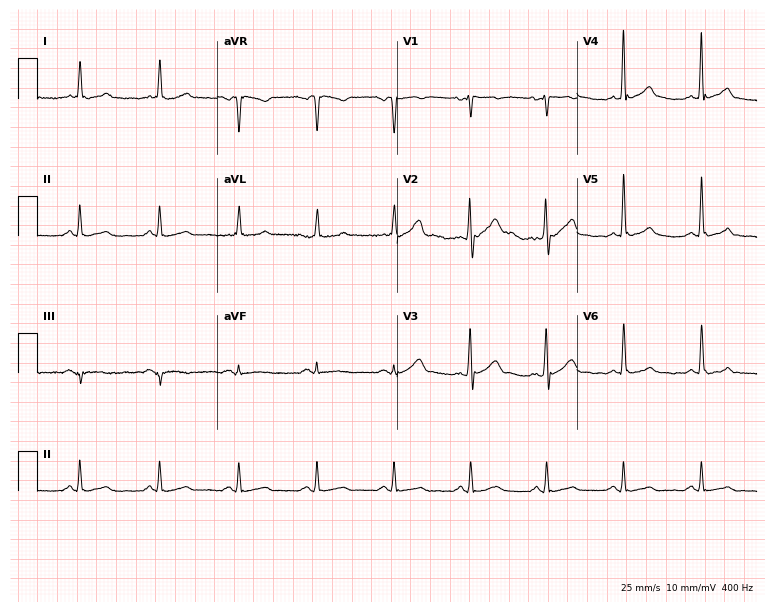
12-lead ECG from a man, 37 years old. Recorded interpretation: within normal limits.